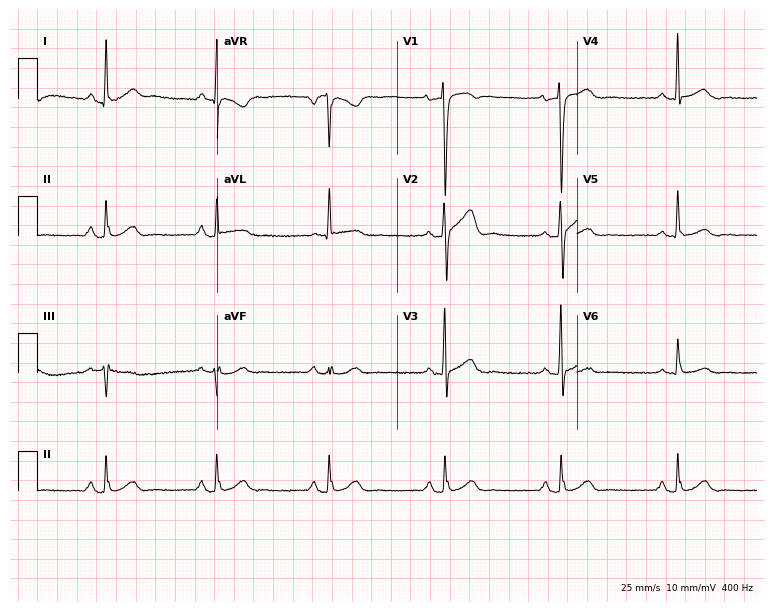
Electrocardiogram, a 52-year-old male patient. Of the six screened findings (first-degree AV block, right bundle branch block, left bundle branch block, sinus bradycardia, atrial fibrillation, sinus tachycardia), none is recorded. Other findings, if any, are not listed.